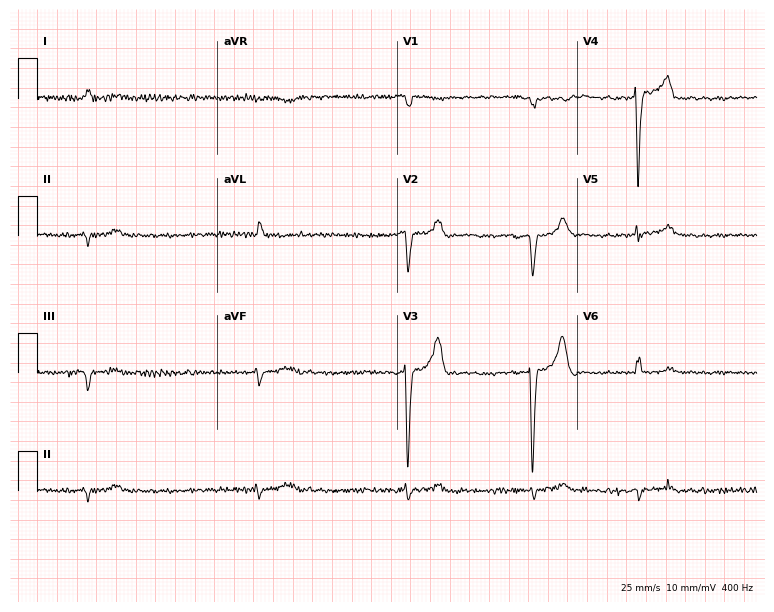
ECG (7.3-second recording at 400 Hz) — a man, 73 years old. Screened for six findings — first-degree AV block, right bundle branch block, left bundle branch block, sinus bradycardia, atrial fibrillation, sinus tachycardia — none is recorded. Other findings, if any, are not listed.